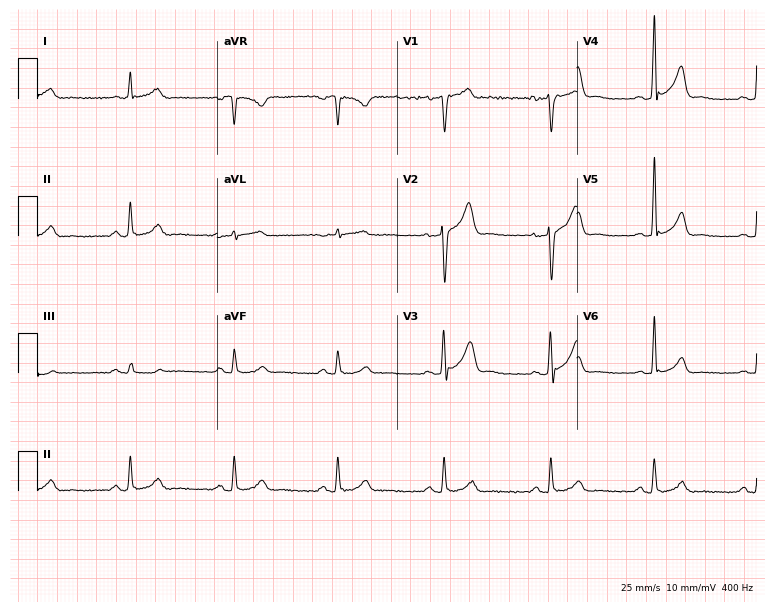
Electrocardiogram, a male patient, 46 years old. Of the six screened findings (first-degree AV block, right bundle branch block (RBBB), left bundle branch block (LBBB), sinus bradycardia, atrial fibrillation (AF), sinus tachycardia), none is recorded. Only these six findings were labelled.